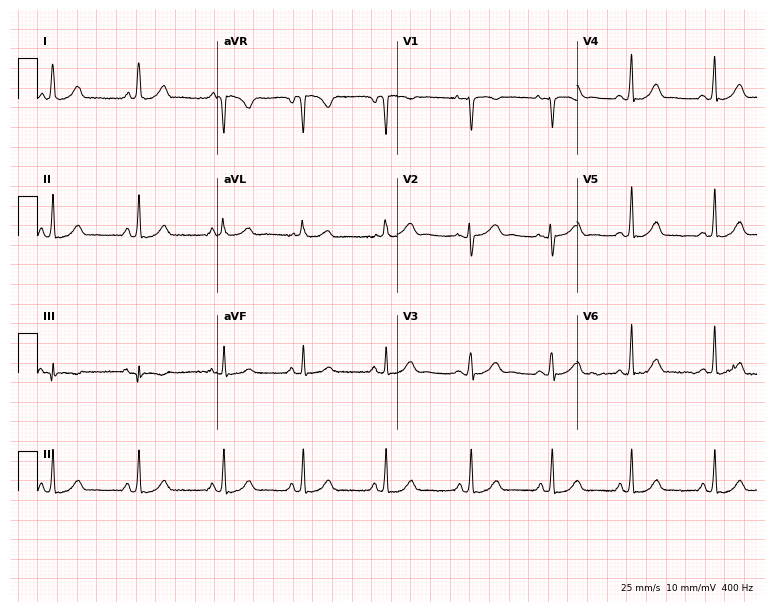
Standard 12-lead ECG recorded from a 35-year-old female patient (7.3-second recording at 400 Hz). Read as a normal ECG.